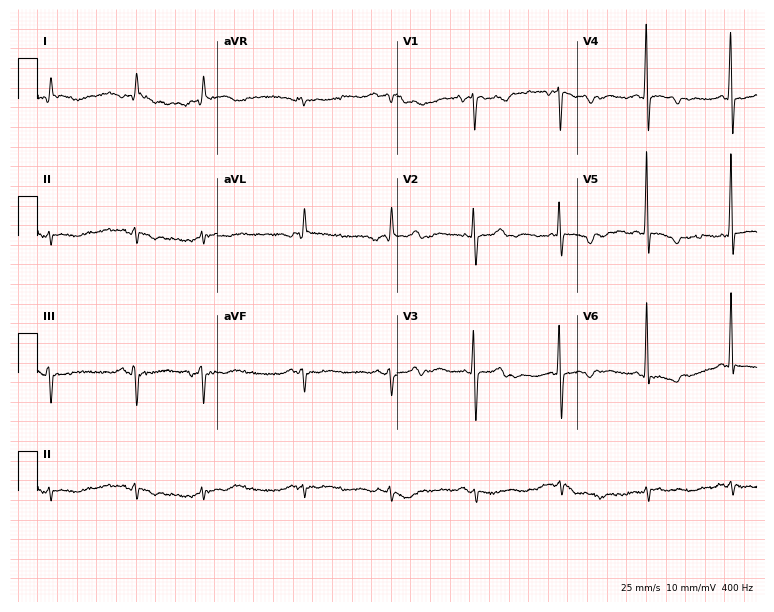
Electrocardiogram, a woman, 77 years old. Of the six screened findings (first-degree AV block, right bundle branch block, left bundle branch block, sinus bradycardia, atrial fibrillation, sinus tachycardia), none is recorded.